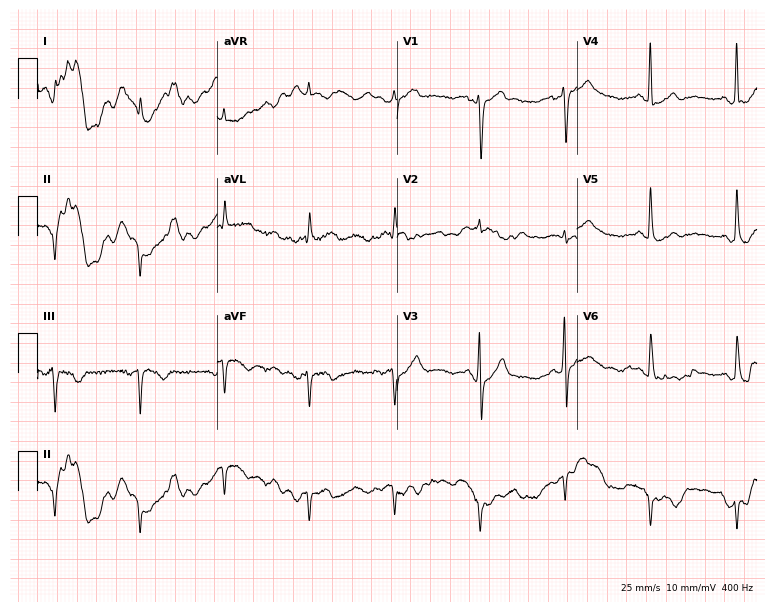
Standard 12-lead ECG recorded from a 52-year-old man. None of these six findings is recorded: first-degree AV block, right bundle branch block, left bundle branch block, sinus bradycardia, atrial fibrillation, sinus tachycardia. Other findings, if any, are not listed.